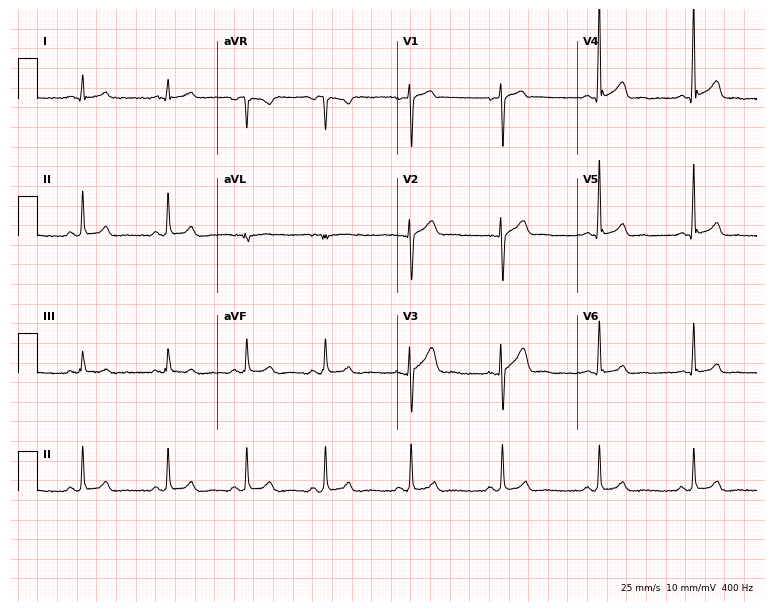
Resting 12-lead electrocardiogram (7.3-second recording at 400 Hz). Patient: a 25-year-old male. None of these six findings is recorded: first-degree AV block, right bundle branch block, left bundle branch block, sinus bradycardia, atrial fibrillation, sinus tachycardia.